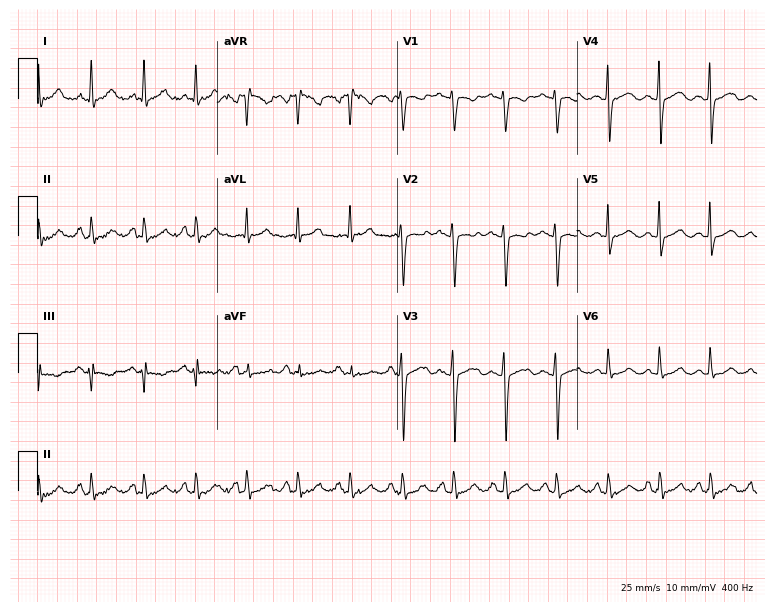
Electrocardiogram, a 33-year-old female. Of the six screened findings (first-degree AV block, right bundle branch block (RBBB), left bundle branch block (LBBB), sinus bradycardia, atrial fibrillation (AF), sinus tachycardia), none is recorded.